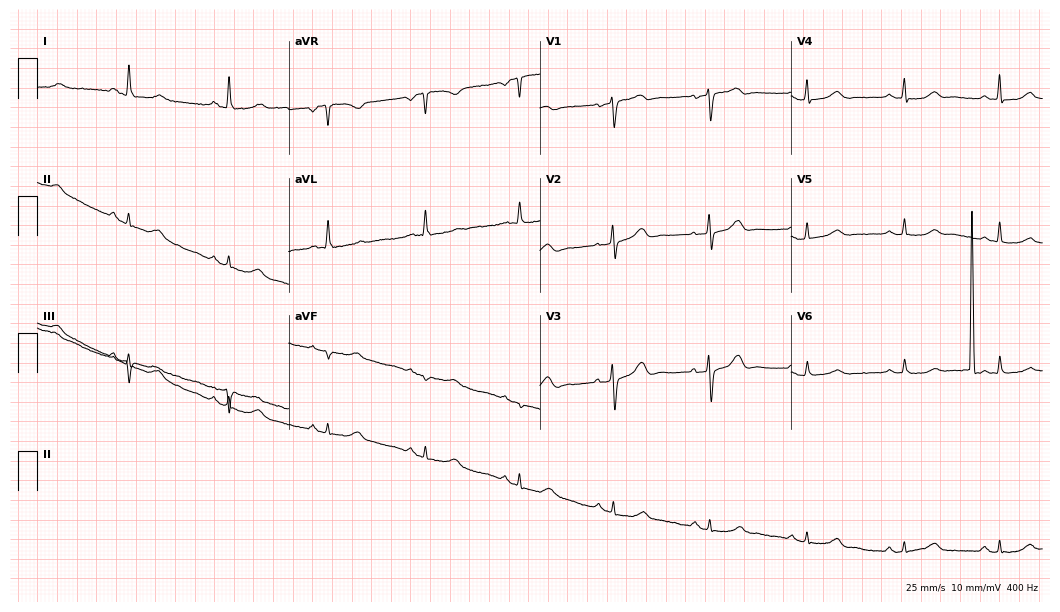
Electrocardiogram, a 56-year-old female patient. Of the six screened findings (first-degree AV block, right bundle branch block, left bundle branch block, sinus bradycardia, atrial fibrillation, sinus tachycardia), none is recorded. Other findings, if any, are not listed.